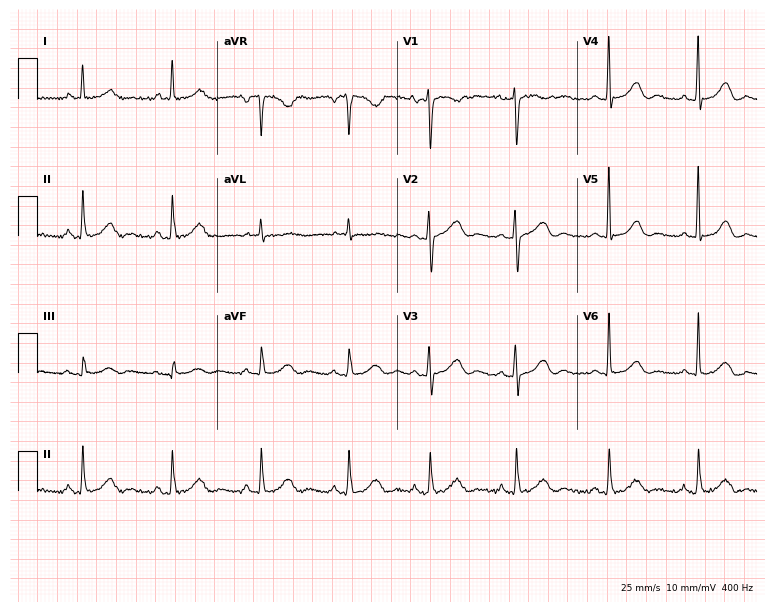
Electrocardiogram, a 62-year-old woman. Overall reading on record: normal ECG.